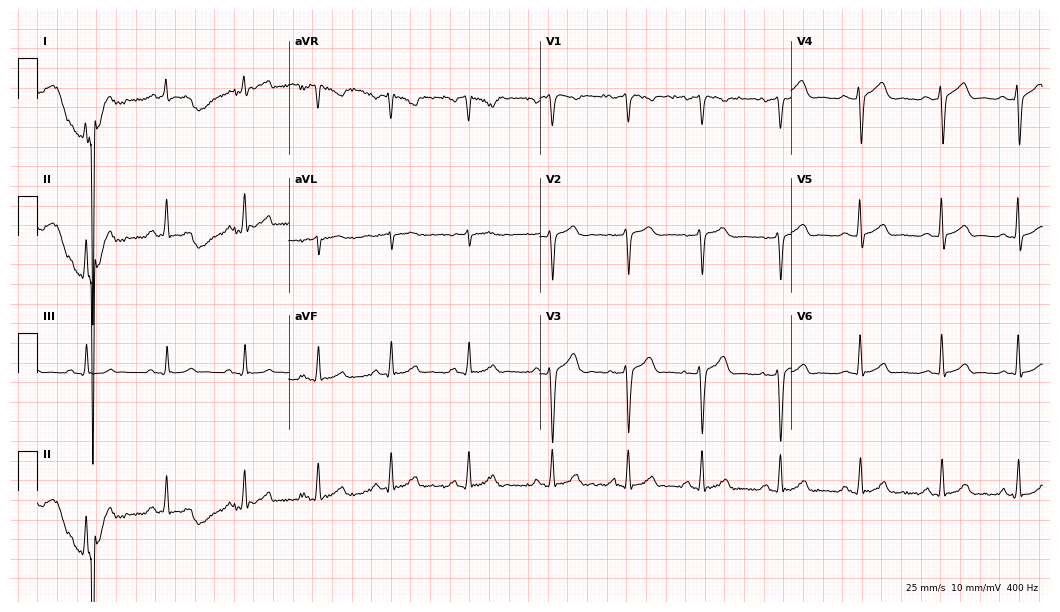
Standard 12-lead ECG recorded from a 24-year-old male (10.2-second recording at 400 Hz). None of these six findings is recorded: first-degree AV block, right bundle branch block, left bundle branch block, sinus bradycardia, atrial fibrillation, sinus tachycardia. Findings outside these six are not listed.